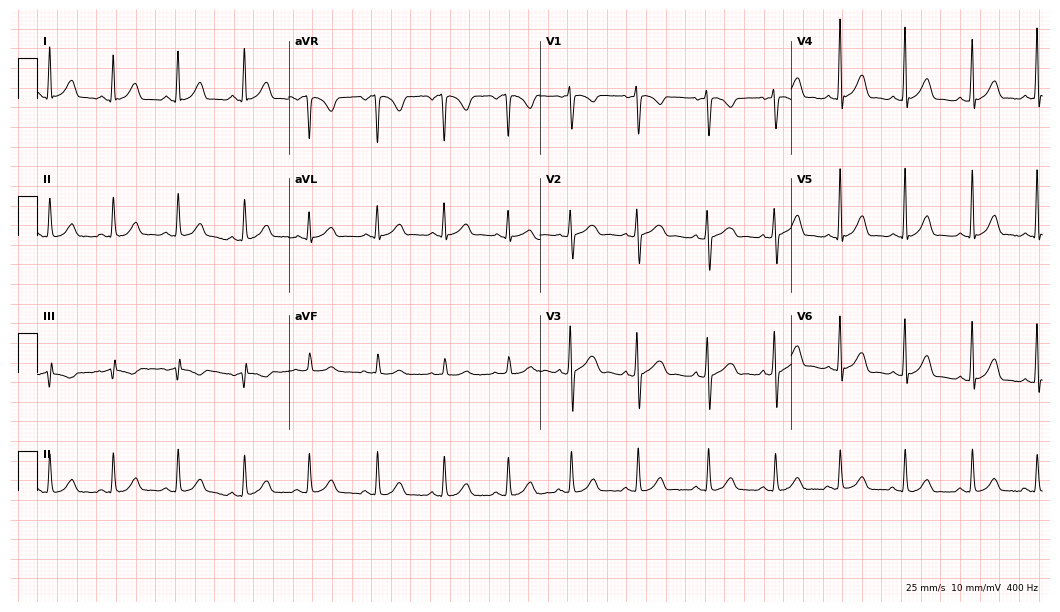
ECG — an 18-year-old female. Screened for six findings — first-degree AV block, right bundle branch block, left bundle branch block, sinus bradycardia, atrial fibrillation, sinus tachycardia — none is recorded. Other findings, if any, are not listed.